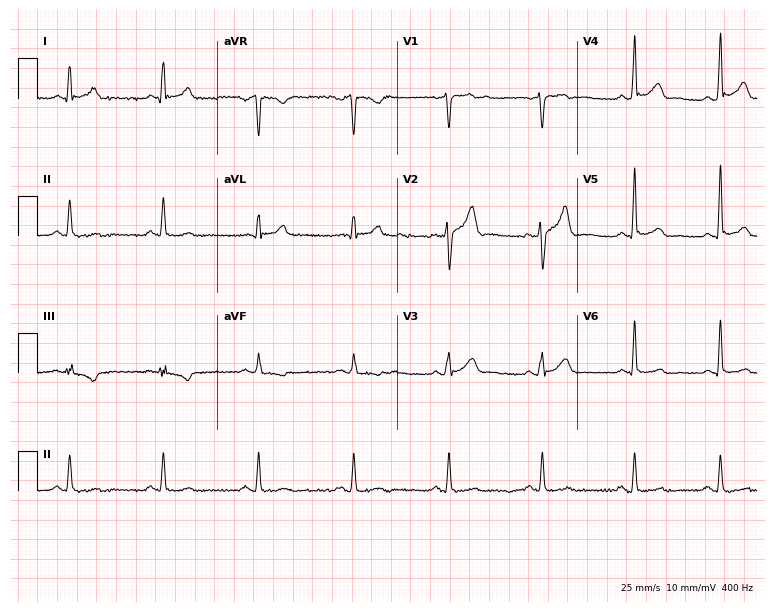
Resting 12-lead electrocardiogram. Patient: a 33-year-old male. Read as a normal ECG.